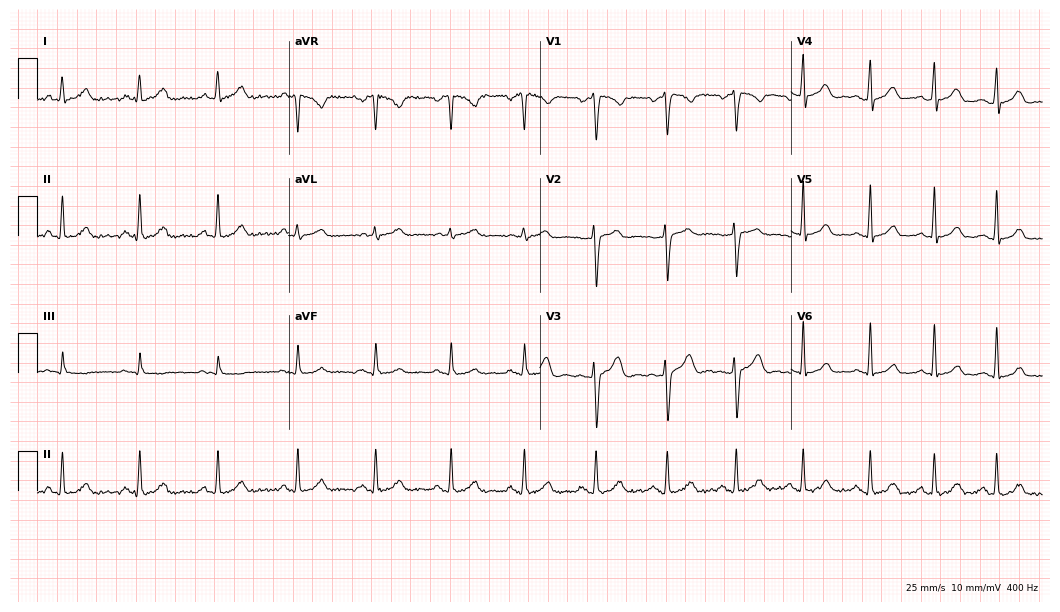
Standard 12-lead ECG recorded from a woman, 17 years old (10.2-second recording at 400 Hz). Read as a normal ECG.